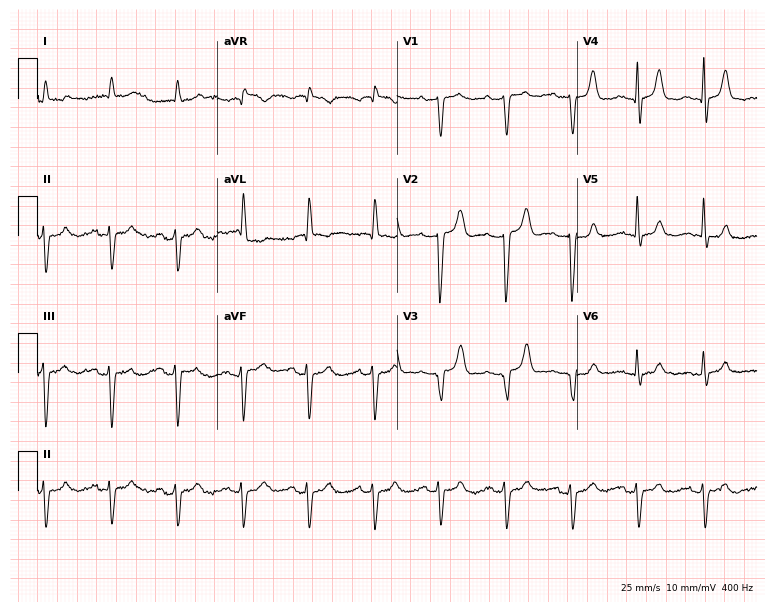
12-lead ECG from an 81-year-old woman (7.3-second recording at 400 Hz). No first-degree AV block, right bundle branch block, left bundle branch block, sinus bradycardia, atrial fibrillation or sinus tachycardia recorded for this tracing.